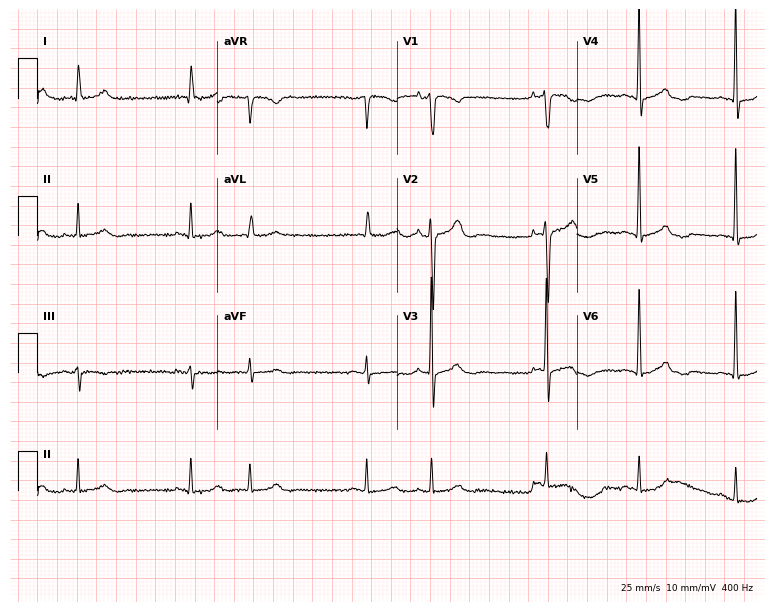
Resting 12-lead electrocardiogram (7.3-second recording at 400 Hz). Patient: a female, 85 years old. None of these six findings is recorded: first-degree AV block, right bundle branch block, left bundle branch block, sinus bradycardia, atrial fibrillation, sinus tachycardia. Other findings, if any, are not listed.